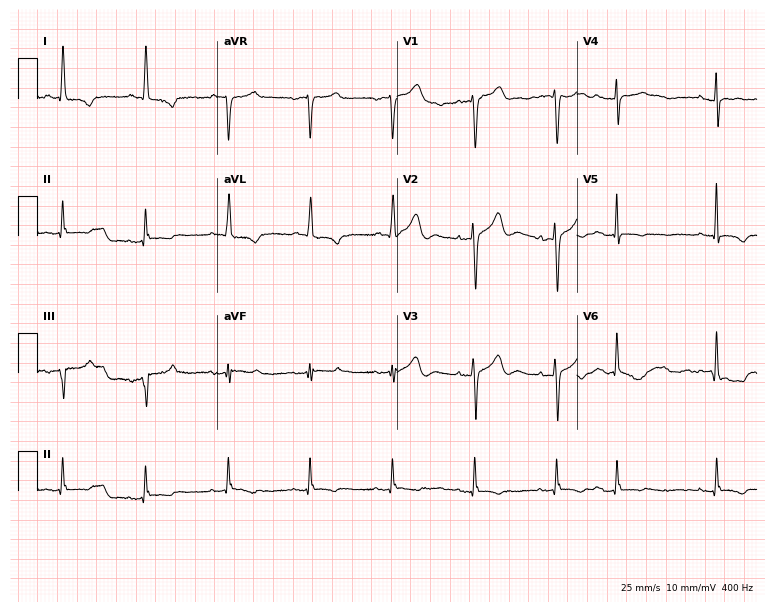
12-lead ECG from a 77-year-old woman (7.3-second recording at 400 Hz). No first-degree AV block, right bundle branch block, left bundle branch block, sinus bradycardia, atrial fibrillation or sinus tachycardia recorded for this tracing.